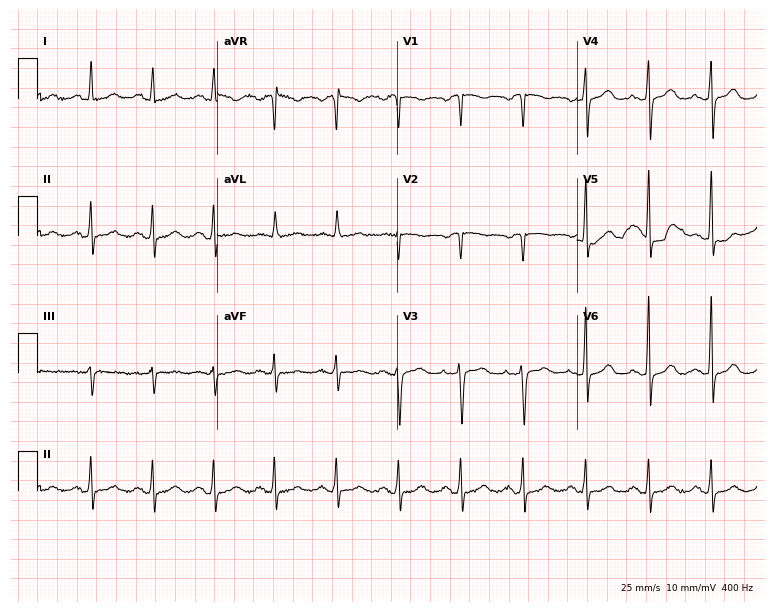
Electrocardiogram, a 70-year-old woman. Overall reading on record: normal ECG.